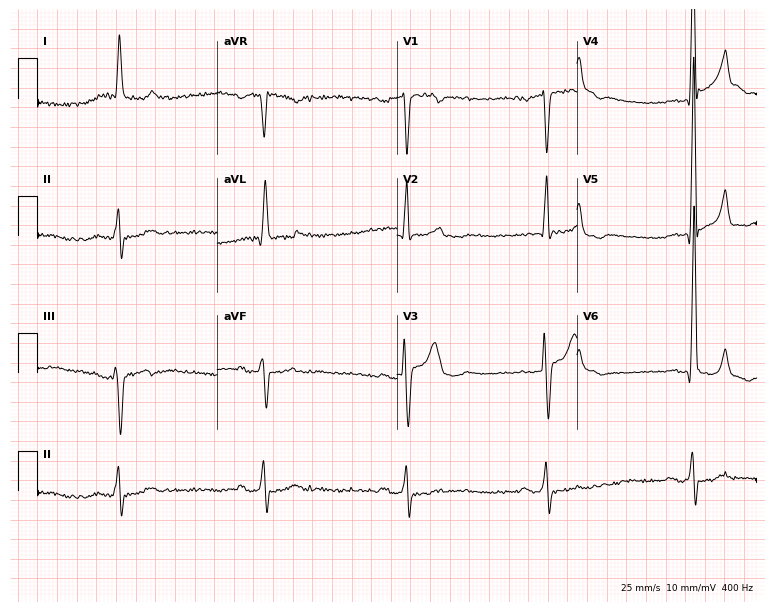
ECG — a 65-year-old male patient. Screened for six findings — first-degree AV block, right bundle branch block (RBBB), left bundle branch block (LBBB), sinus bradycardia, atrial fibrillation (AF), sinus tachycardia — none is recorded.